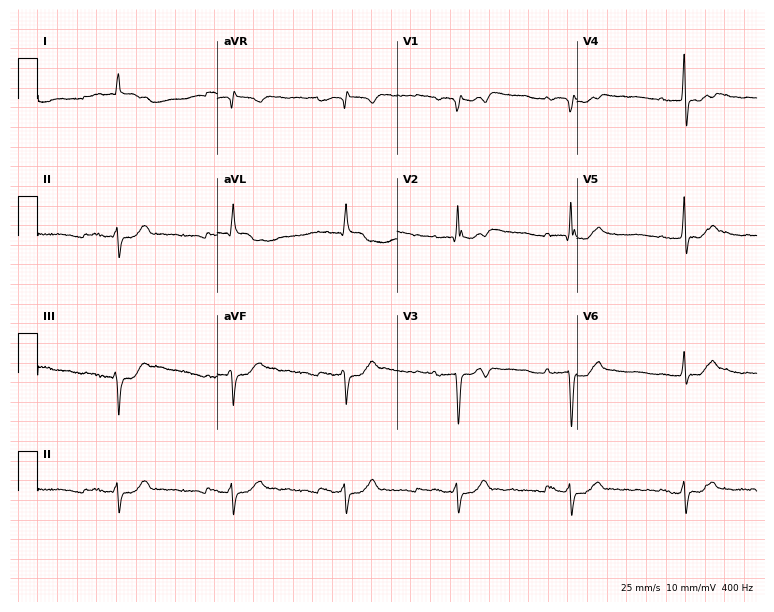
Resting 12-lead electrocardiogram. Patient: a 79-year-old male. None of these six findings is recorded: first-degree AV block, right bundle branch block, left bundle branch block, sinus bradycardia, atrial fibrillation, sinus tachycardia.